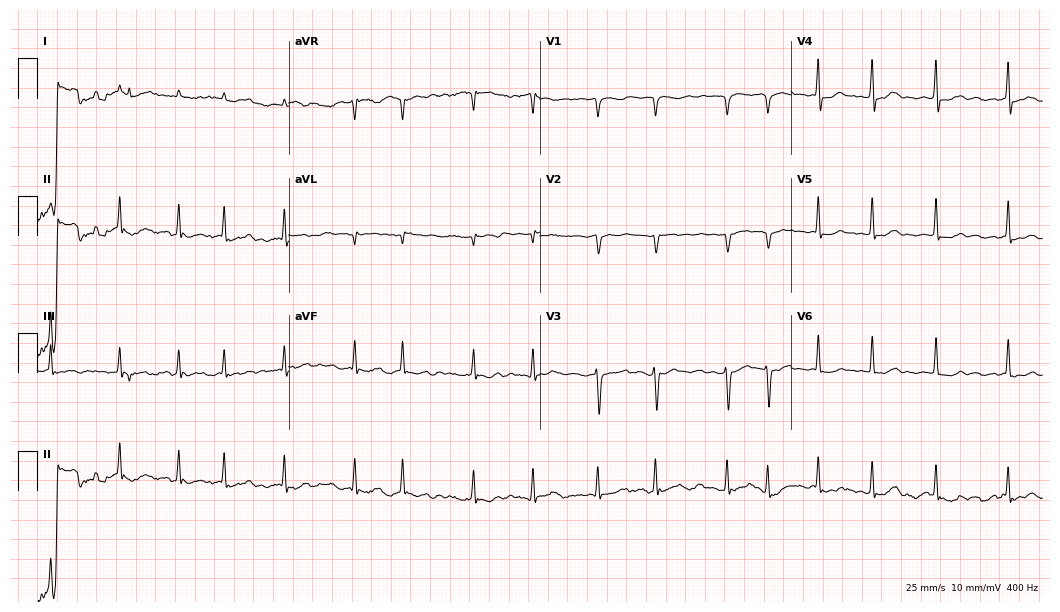
12-lead ECG from a man, 74 years old (10.2-second recording at 400 Hz). Shows atrial fibrillation.